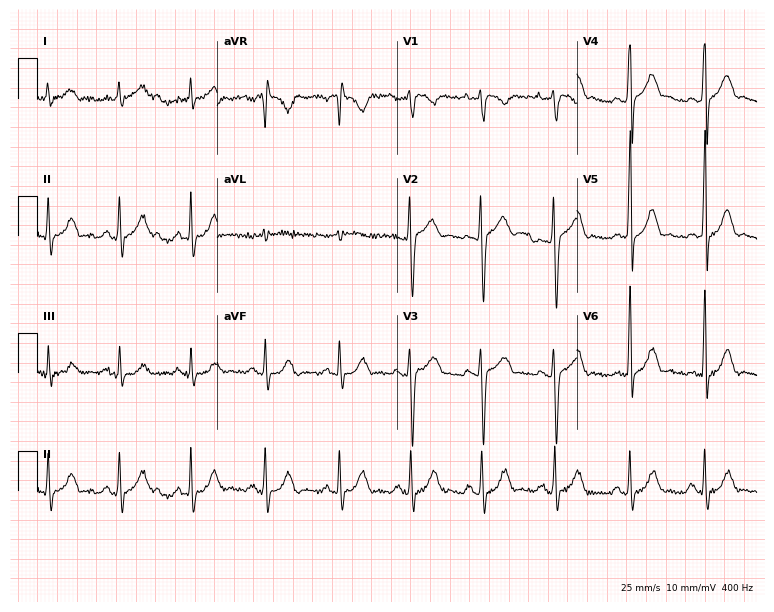
Electrocardiogram (7.3-second recording at 400 Hz), a 31-year-old male. Overall reading on record: normal ECG.